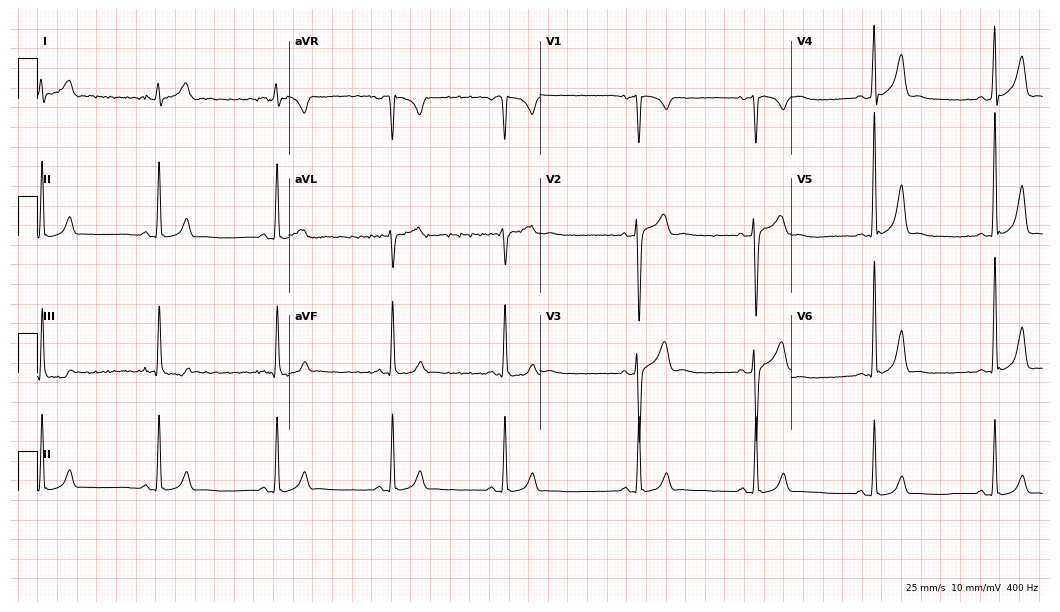
Electrocardiogram (10.2-second recording at 400 Hz), an 18-year-old man. Interpretation includes sinus bradycardia (a sinus rate of 50 beats per minute or less).